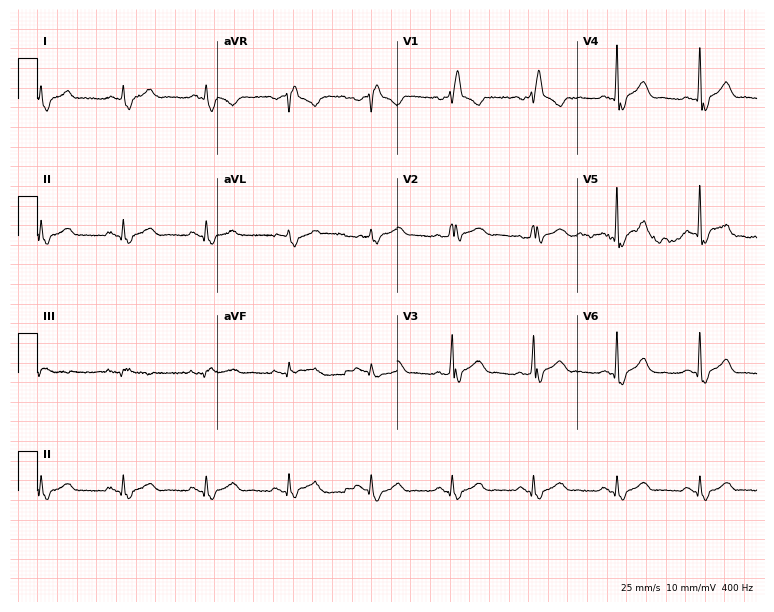
ECG (7.3-second recording at 400 Hz) — a 68-year-old man. Findings include right bundle branch block.